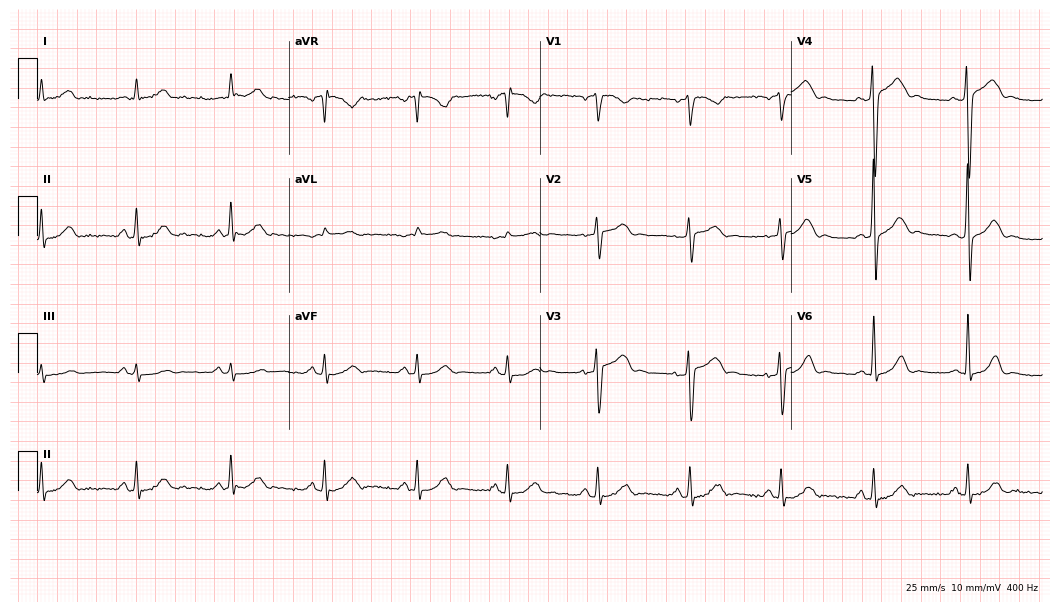
Resting 12-lead electrocardiogram (10.2-second recording at 400 Hz). Patient: a male, 32 years old. Read as a normal ECG.